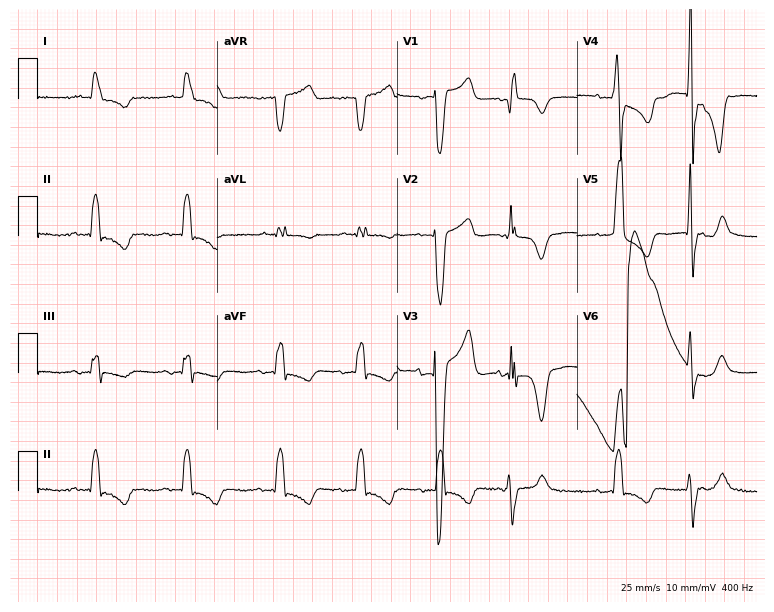
12-lead ECG from a woman, 79 years old (7.3-second recording at 400 Hz). Shows left bundle branch block.